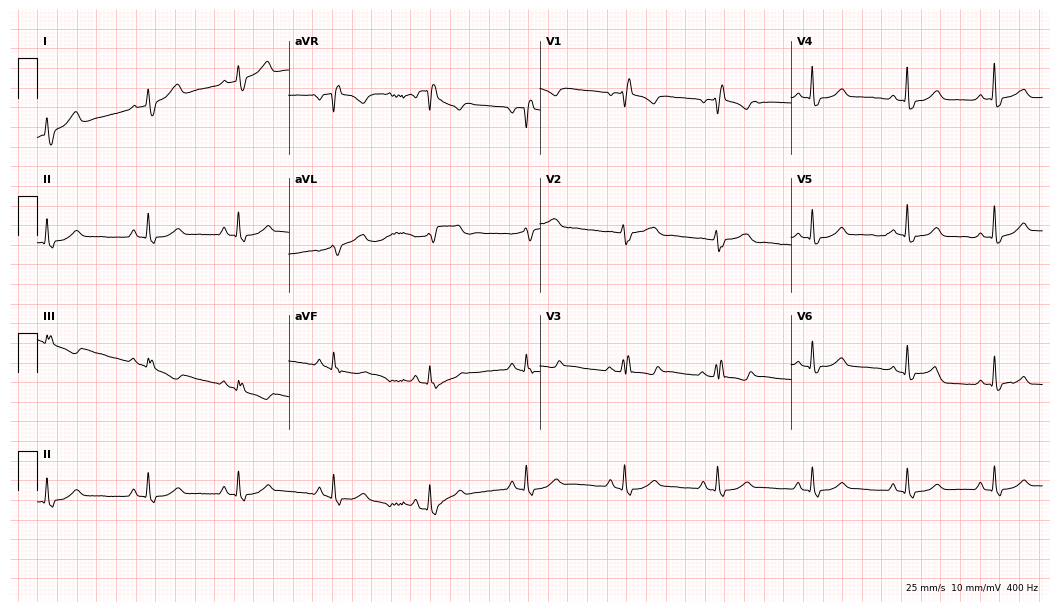
ECG (10.2-second recording at 400 Hz) — a 47-year-old woman. Findings include right bundle branch block (RBBB).